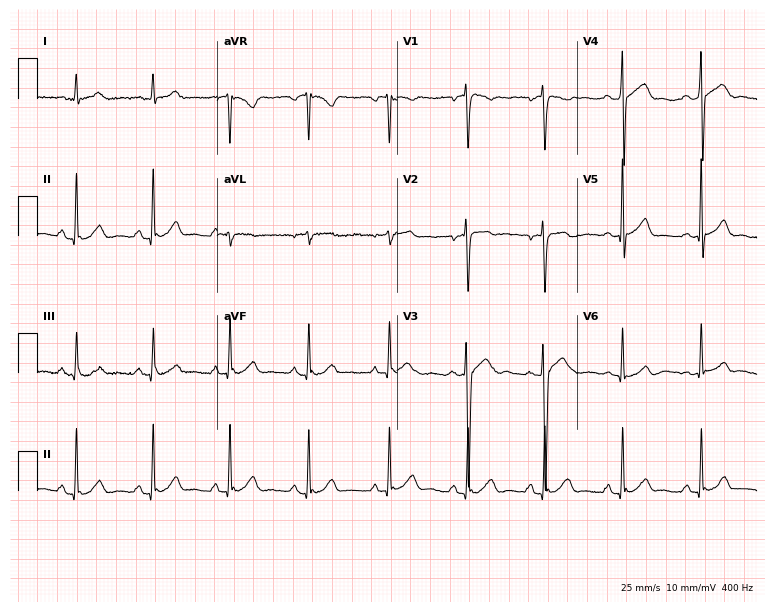
Electrocardiogram, a male, 32 years old. Of the six screened findings (first-degree AV block, right bundle branch block, left bundle branch block, sinus bradycardia, atrial fibrillation, sinus tachycardia), none is recorded.